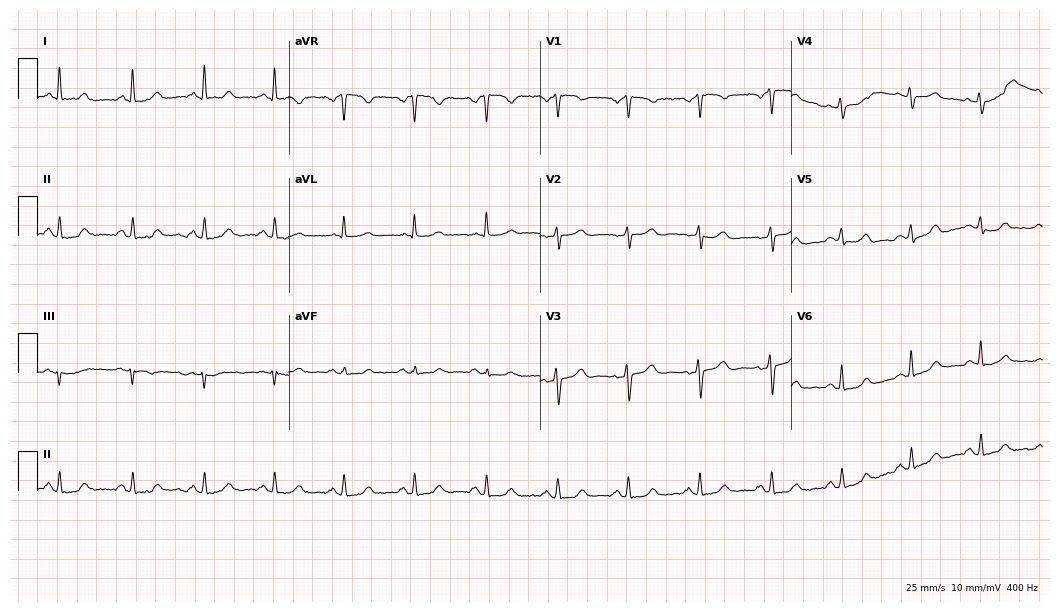
Electrocardiogram (10.2-second recording at 400 Hz), a female patient, 57 years old. Of the six screened findings (first-degree AV block, right bundle branch block (RBBB), left bundle branch block (LBBB), sinus bradycardia, atrial fibrillation (AF), sinus tachycardia), none is recorded.